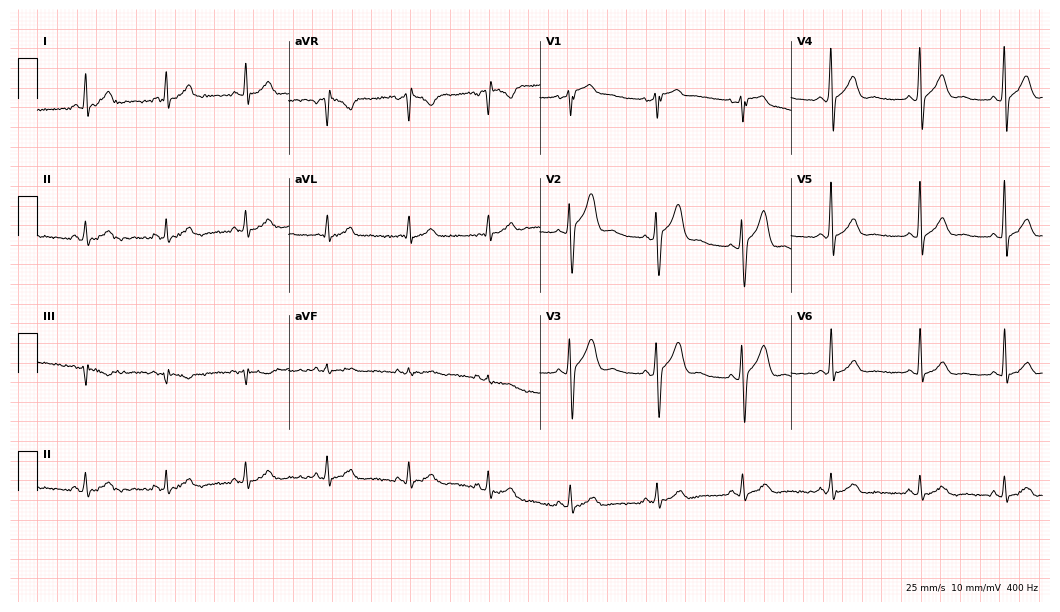
12-lead ECG (10.2-second recording at 400 Hz) from a man, 40 years old. Labelled as a normal ECG.